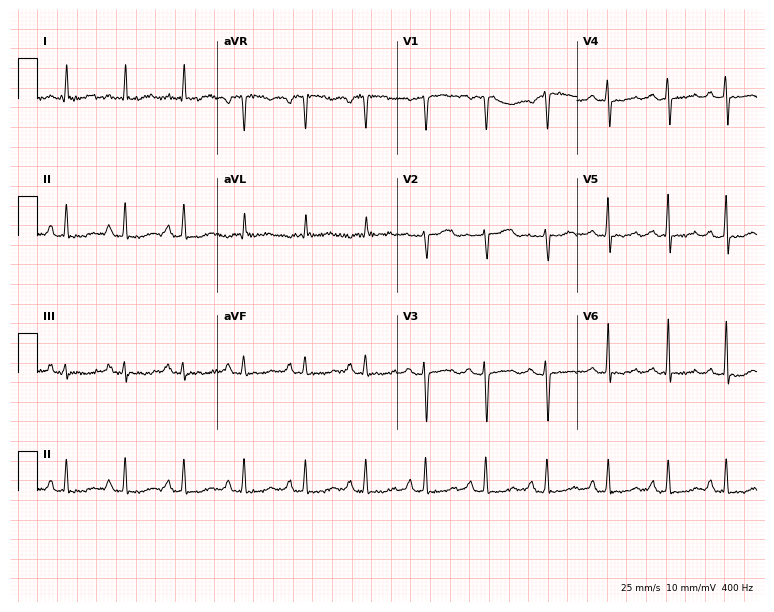
Standard 12-lead ECG recorded from a woman, 49 years old (7.3-second recording at 400 Hz). None of these six findings is recorded: first-degree AV block, right bundle branch block, left bundle branch block, sinus bradycardia, atrial fibrillation, sinus tachycardia. Only these six findings were labelled.